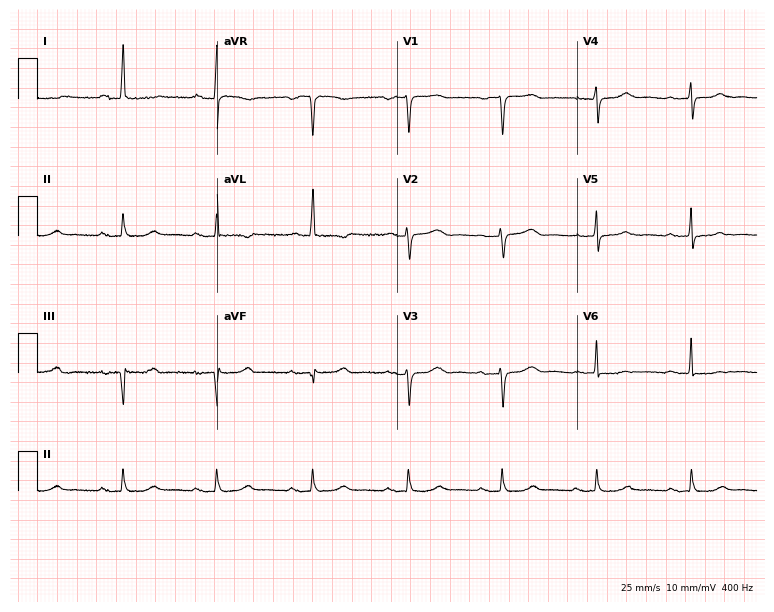
Standard 12-lead ECG recorded from a 62-year-old female patient (7.3-second recording at 400 Hz). None of these six findings is recorded: first-degree AV block, right bundle branch block (RBBB), left bundle branch block (LBBB), sinus bradycardia, atrial fibrillation (AF), sinus tachycardia.